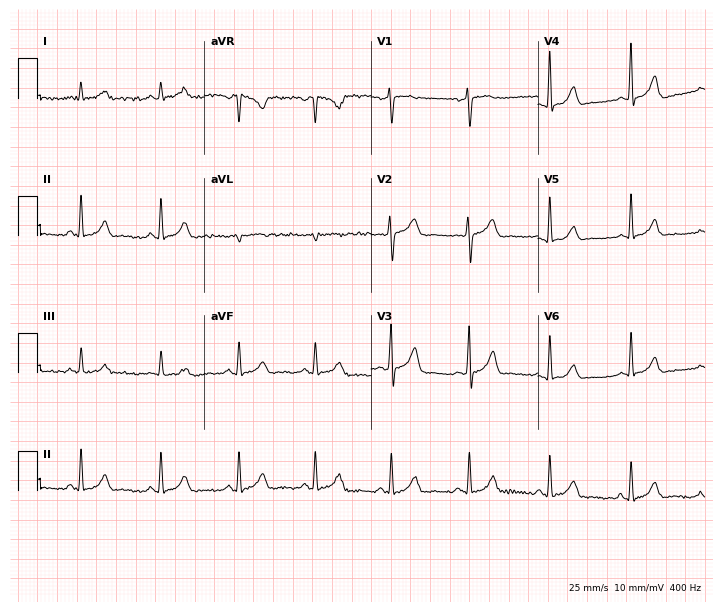
12-lead ECG from a man, 42 years old. Labelled as a normal ECG.